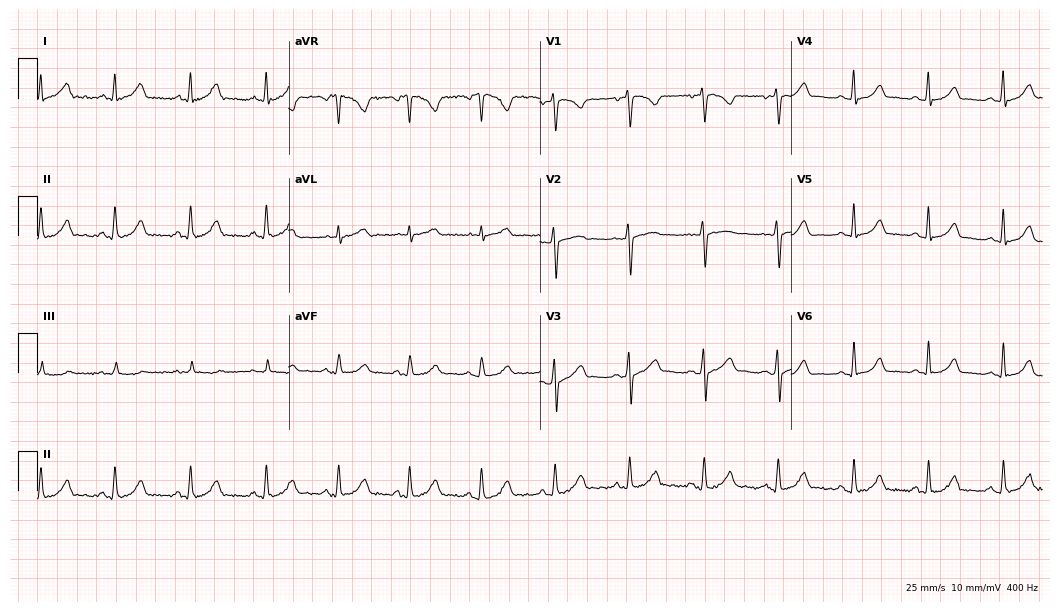
ECG — a 33-year-old female. Screened for six findings — first-degree AV block, right bundle branch block (RBBB), left bundle branch block (LBBB), sinus bradycardia, atrial fibrillation (AF), sinus tachycardia — none is recorded.